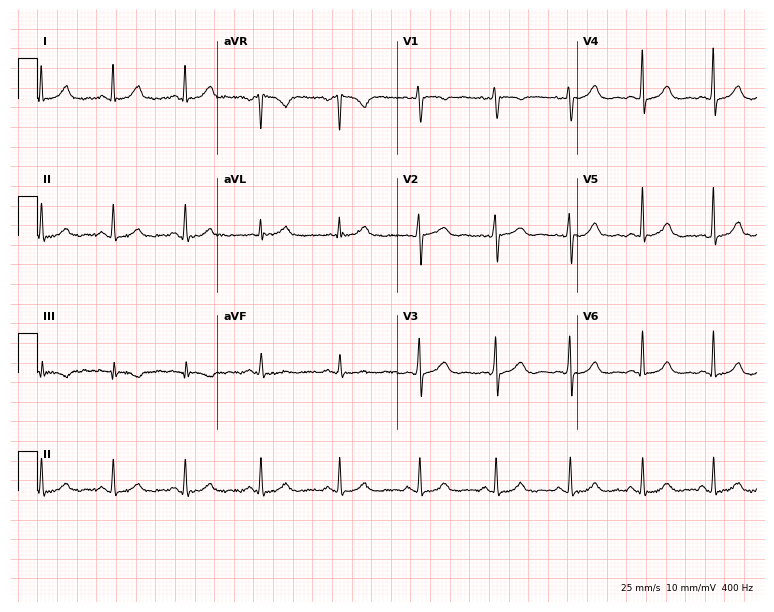
12-lead ECG (7.3-second recording at 400 Hz) from a female, 45 years old. Labelled as a normal ECG.